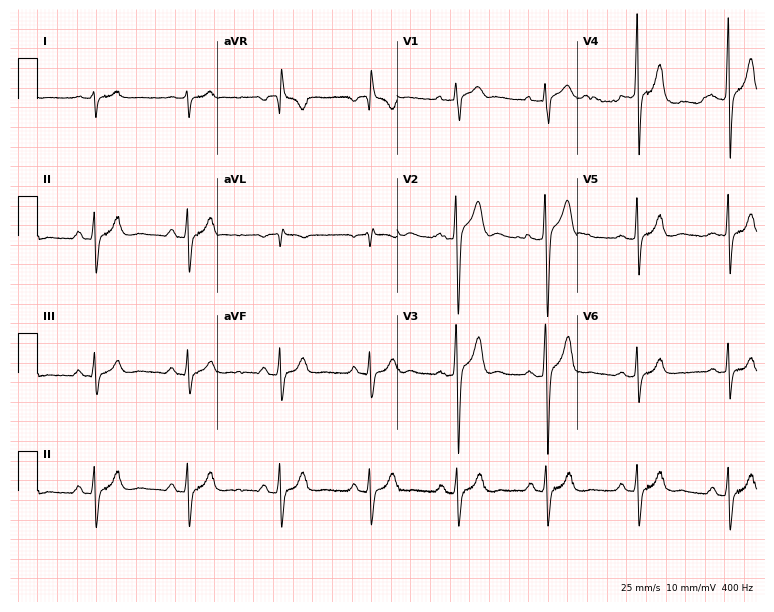
Electrocardiogram (7.3-second recording at 400 Hz), a male patient, 34 years old. Of the six screened findings (first-degree AV block, right bundle branch block, left bundle branch block, sinus bradycardia, atrial fibrillation, sinus tachycardia), none is recorded. Only these six findings were labelled.